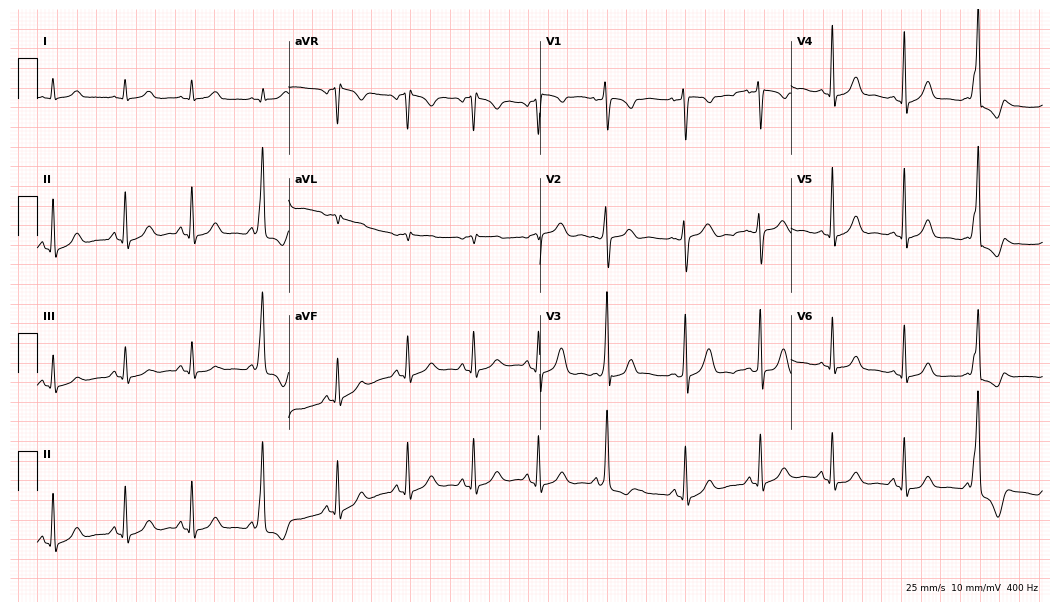
ECG — a 24-year-old female patient. Labelled as a normal ECG.